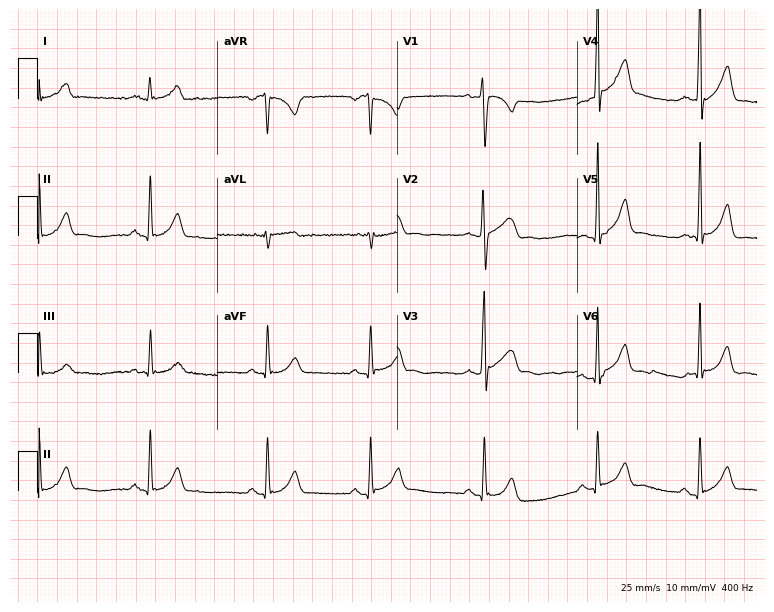
Resting 12-lead electrocardiogram. Patient: a man, 21 years old. Read as a normal ECG.